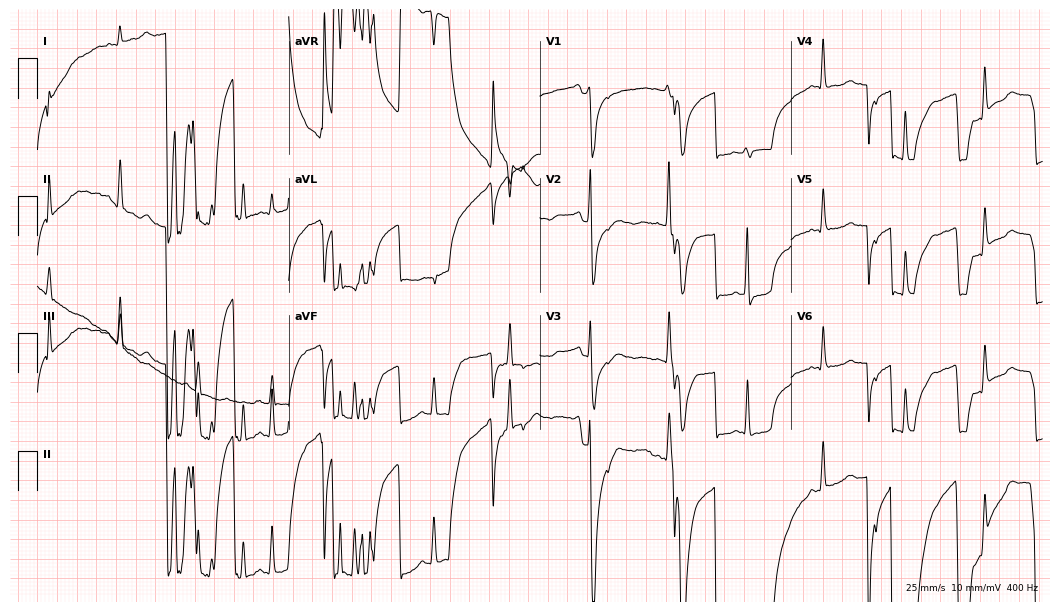
12-lead ECG from a 73-year-old woman. Screened for six findings — first-degree AV block, right bundle branch block (RBBB), left bundle branch block (LBBB), sinus bradycardia, atrial fibrillation (AF), sinus tachycardia — none is recorded. Other findings, if any, are not listed.